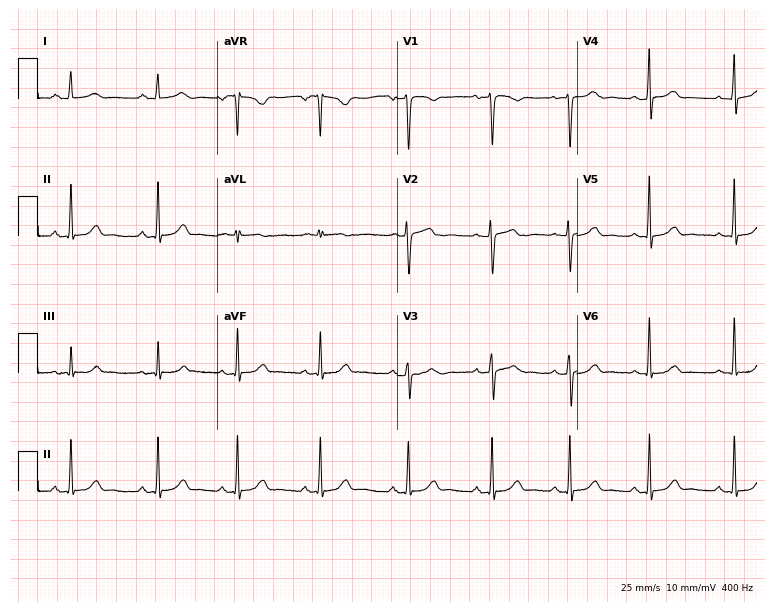
Resting 12-lead electrocardiogram (7.3-second recording at 400 Hz). Patient: an 18-year-old female. Read as a normal ECG.